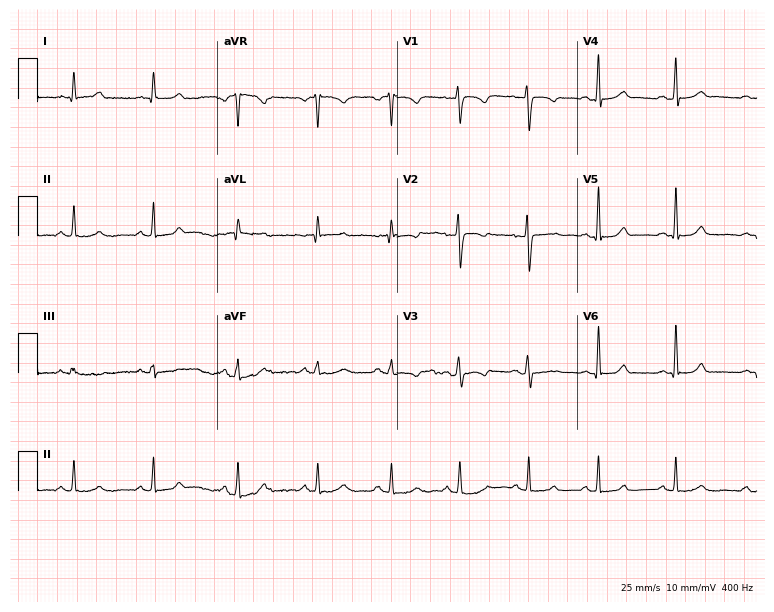
ECG (7.3-second recording at 400 Hz) — a 34-year-old female patient. Labelled as a normal ECG.